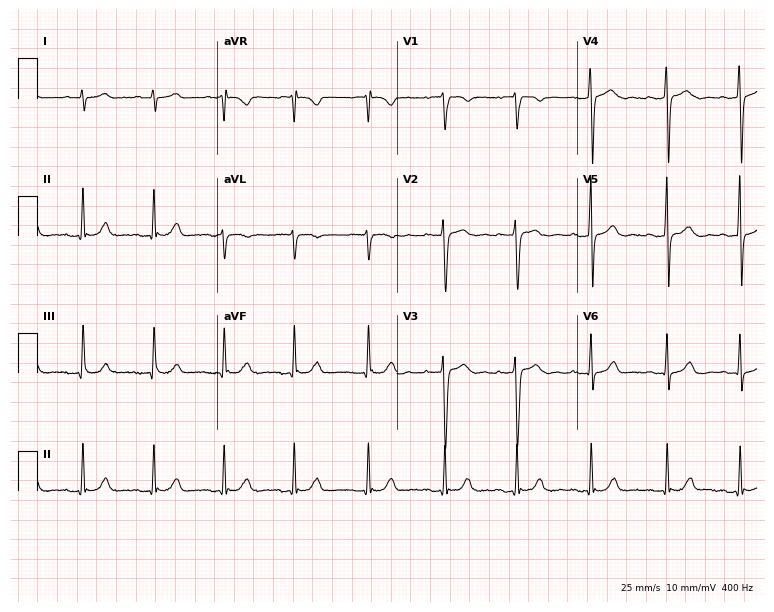
Resting 12-lead electrocardiogram (7.3-second recording at 400 Hz). Patient: a 25-year-old male. Read as a normal ECG.